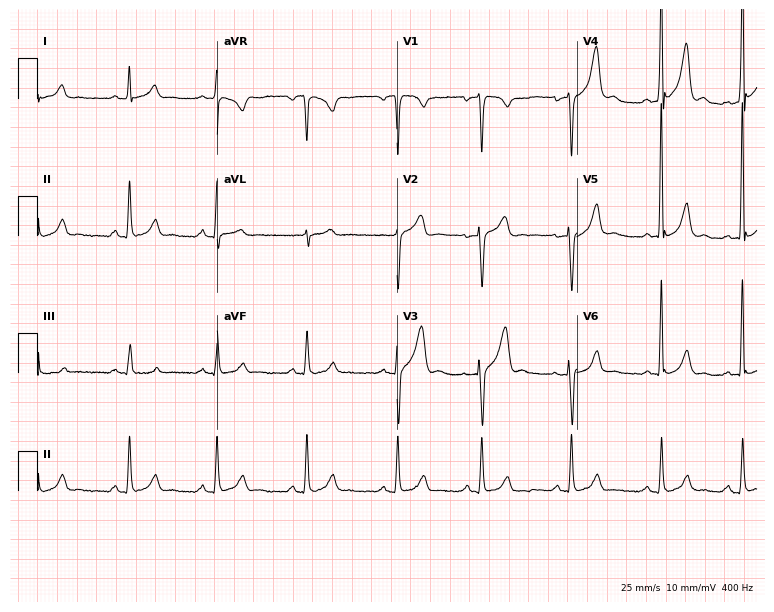
12-lead ECG from a male, 30 years old. Labelled as a normal ECG.